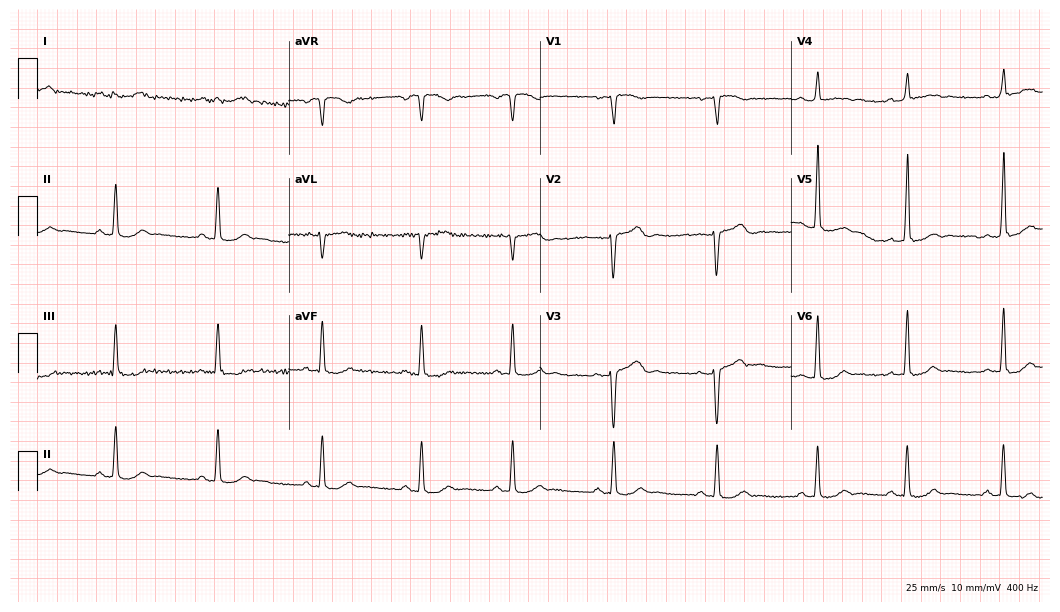
Standard 12-lead ECG recorded from a 26-year-old female (10.2-second recording at 400 Hz). None of these six findings is recorded: first-degree AV block, right bundle branch block, left bundle branch block, sinus bradycardia, atrial fibrillation, sinus tachycardia. Other findings, if any, are not listed.